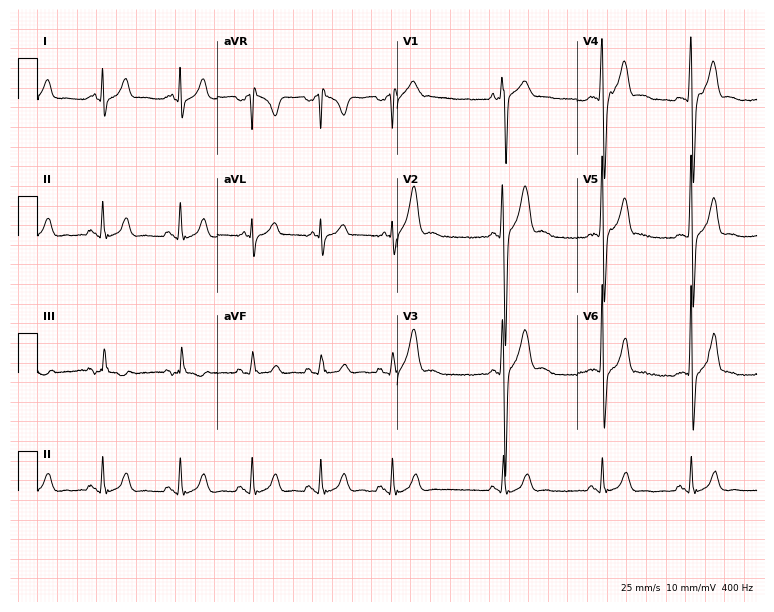
12-lead ECG (7.3-second recording at 400 Hz) from a female, 18 years old. Labelled as a normal ECG.